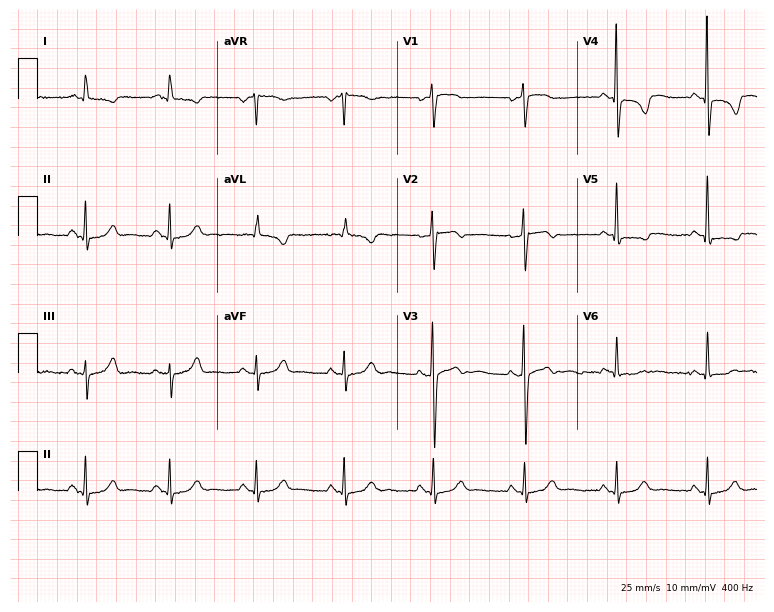
12-lead ECG from a 69-year-old woman. Screened for six findings — first-degree AV block, right bundle branch block, left bundle branch block, sinus bradycardia, atrial fibrillation, sinus tachycardia — none is recorded. Other findings, if any, are not listed.